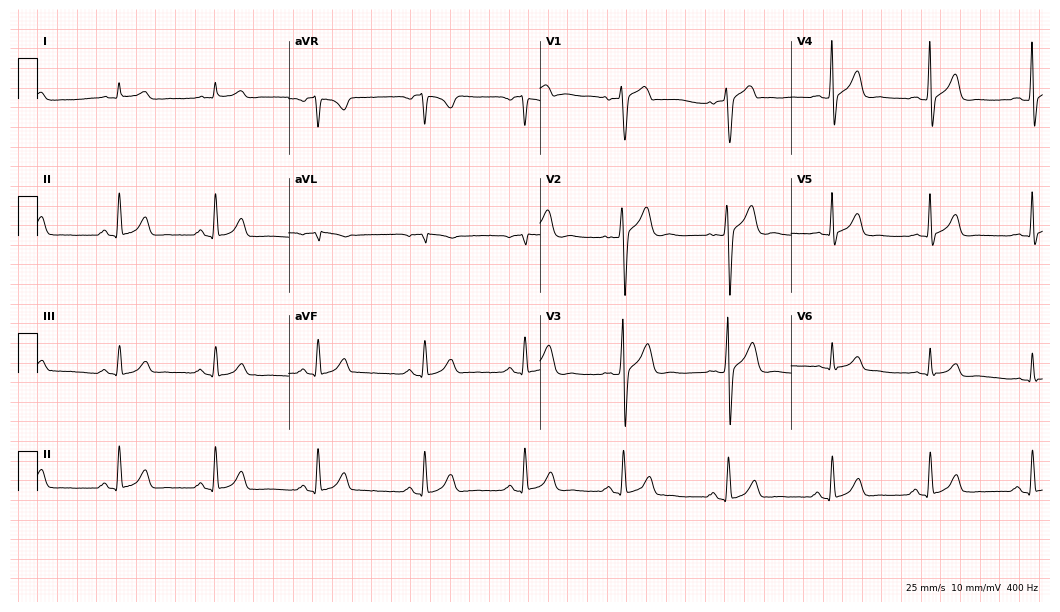
12-lead ECG (10.2-second recording at 400 Hz) from a man, 28 years old. Labelled as a normal ECG.